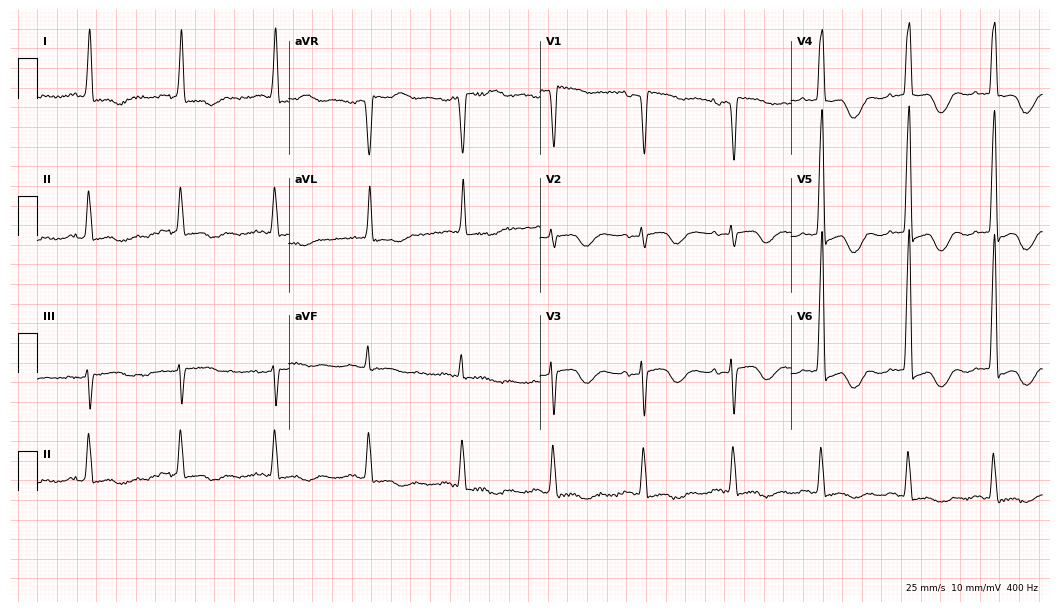
Electrocardiogram, a female, 82 years old. Of the six screened findings (first-degree AV block, right bundle branch block (RBBB), left bundle branch block (LBBB), sinus bradycardia, atrial fibrillation (AF), sinus tachycardia), none is recorded. Findings outside these six are not listed.